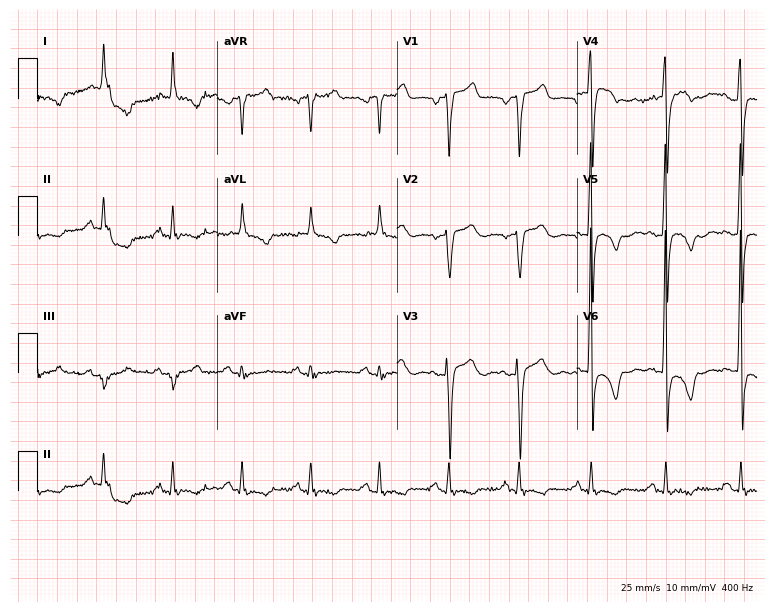
12-lead ECG from an 84-year-old man. No first-degree AV block, right bundle branch block (RBBB), left bundle branch block (LBBB), sinus bradycardia, atrial fibrillation (AF) or sinus tachycardia recorded for this tracing. Findings outside these six are not listed.